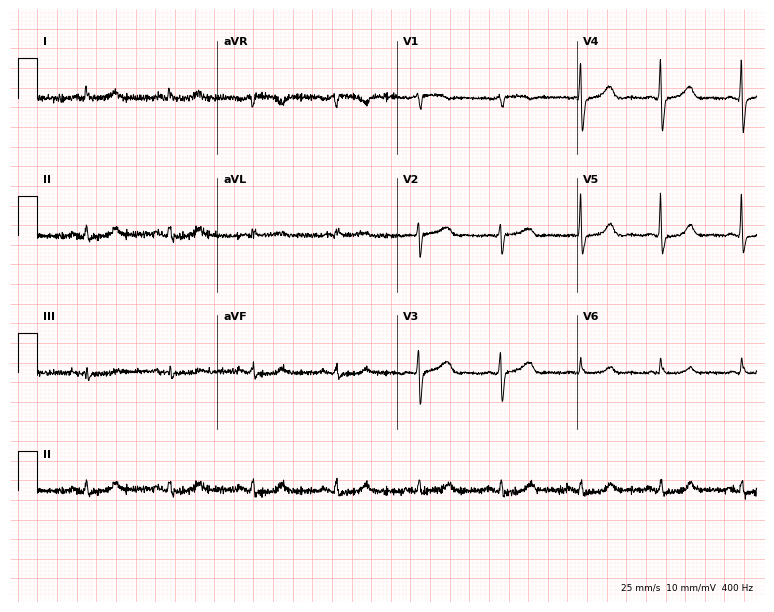
ECG (7.3-second recording at 400 Hz) — a 72-year-old female patient. Labelled as a normal ECG.